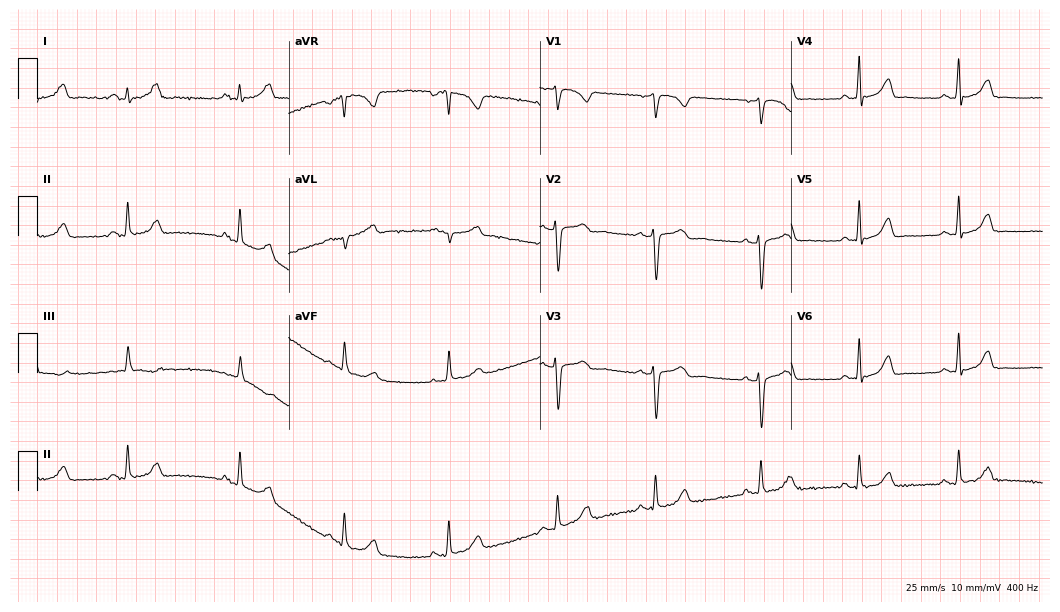
12-lead ECG from a woman, 20 years old. Recorded interpretation: within normal limits.